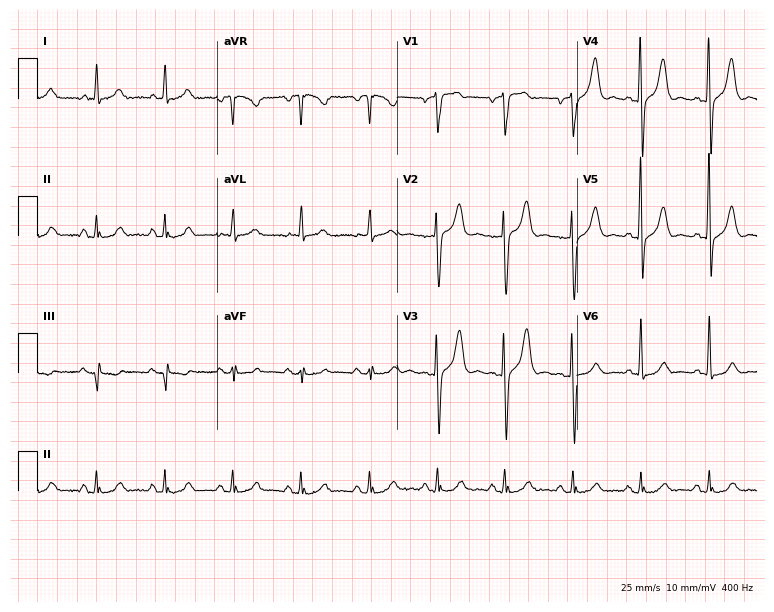
Standard 12-lead ECG recorded from a man, 80 years old (7.3-second recording at 400 Hz). Read as a normal ECG.